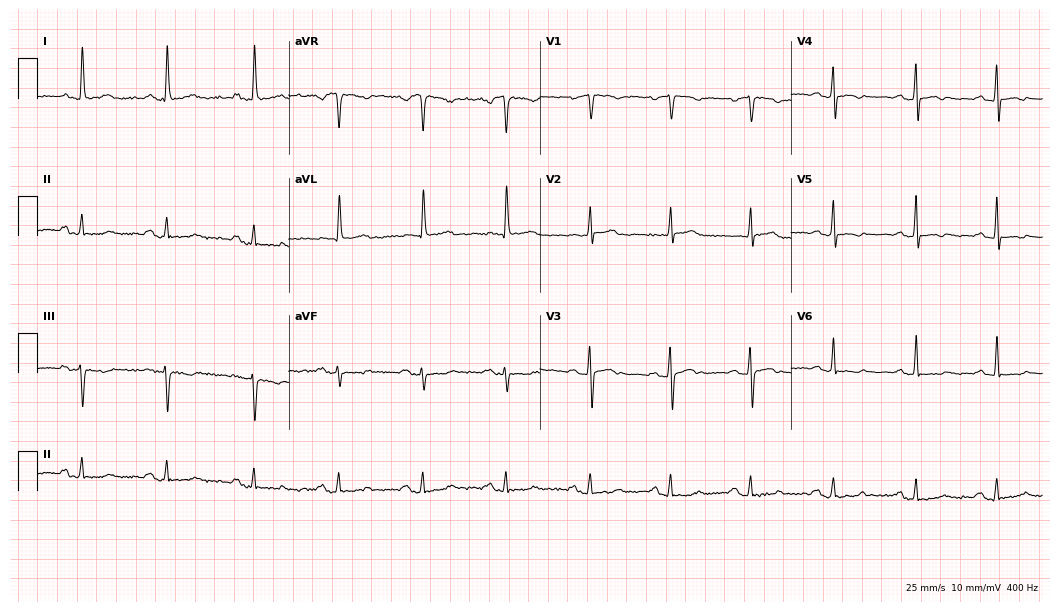
12-lead ECG from a 57-year-old female. No first-degree AV block, right bundle branch block (RBBB), left bundle branch block (LBBB), sinus bradycardia, atrial fibrillation (AF) or sinus tachycardia recorded for this tracing. Findings outside these six are not listed.